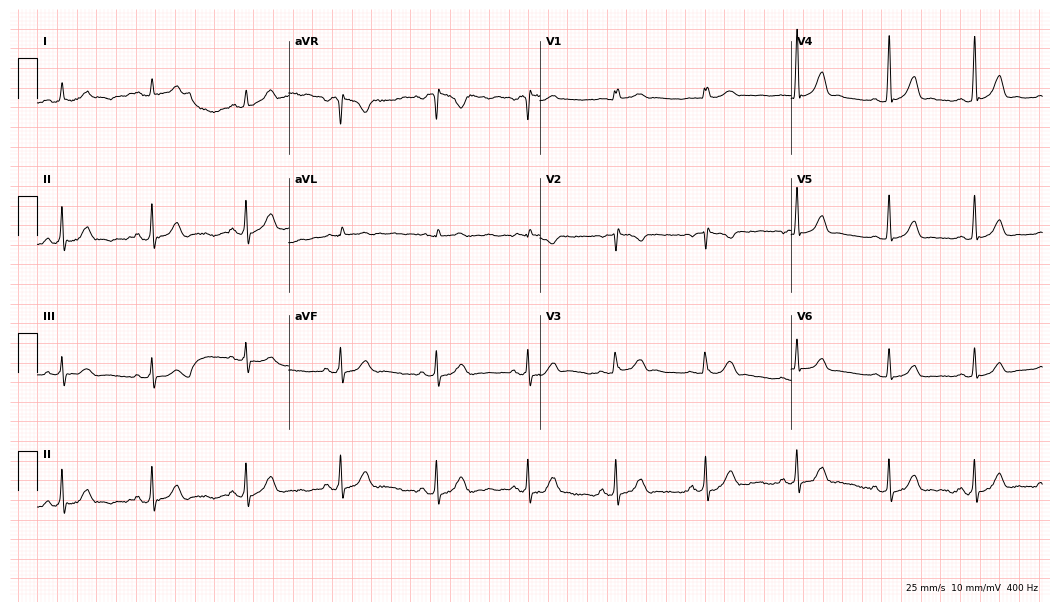
ECG — a 19-year-old female patient. Screened for six findings — first-degree AV block, right bundle branch block, left bundle branch block, sinus bradycardia, atrial fibrillation, sinus tachycardia — none is recorded. Other findings, if any, are not listed.